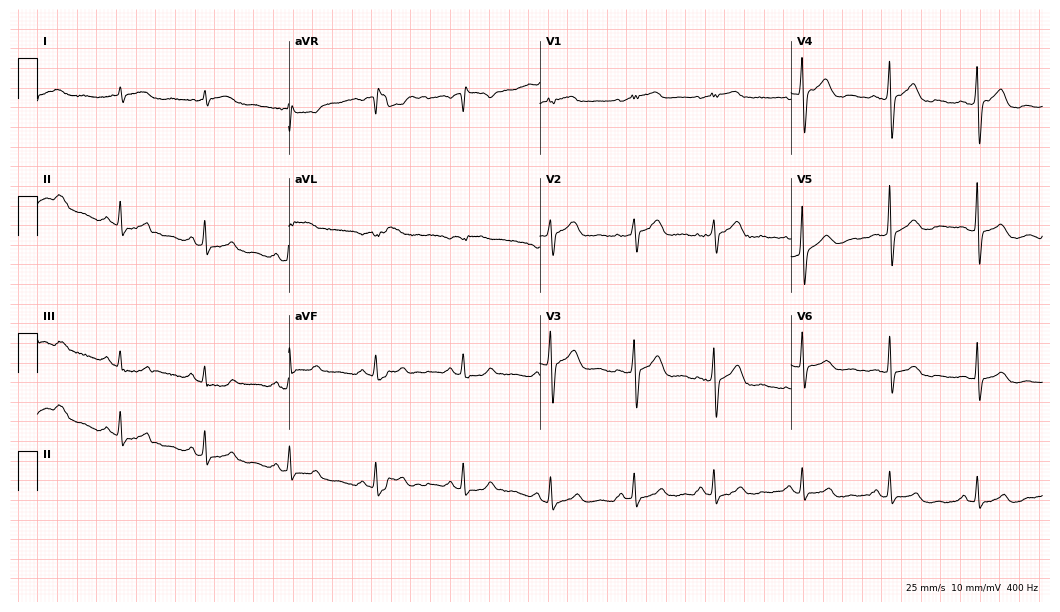
Electrocardiogram (10.2-second recording at 400 Hz), a 74-year-old male. Overall reading on record: normal ECG.